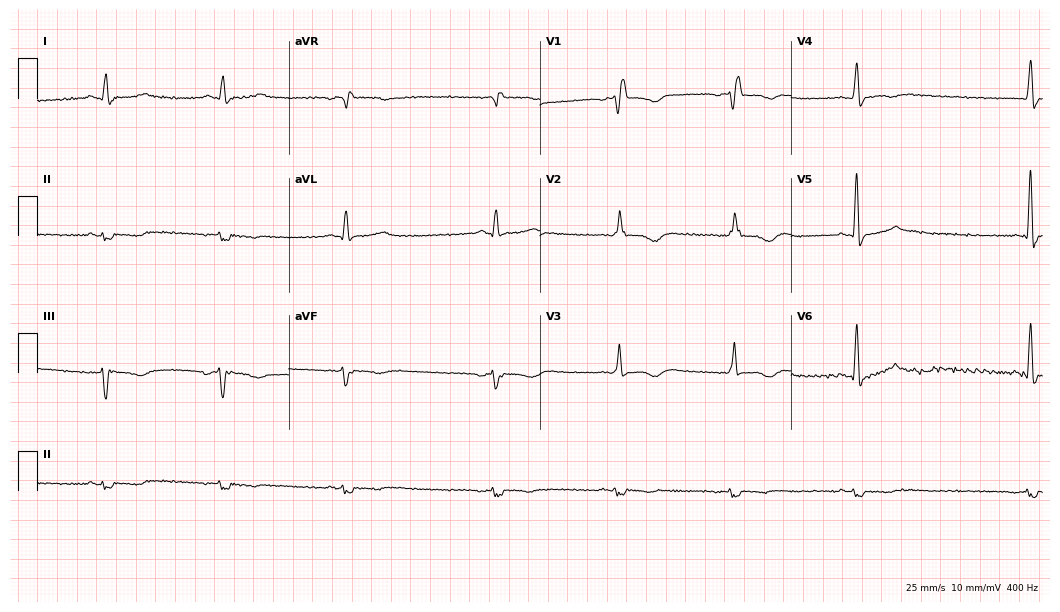
12-lead ECG from a 51-year-old male patient (10.2-second recording at 400 Hz). Shows right bundle branch block, sinus bradycardia (a sinus rate of 50 beats per minute or less).